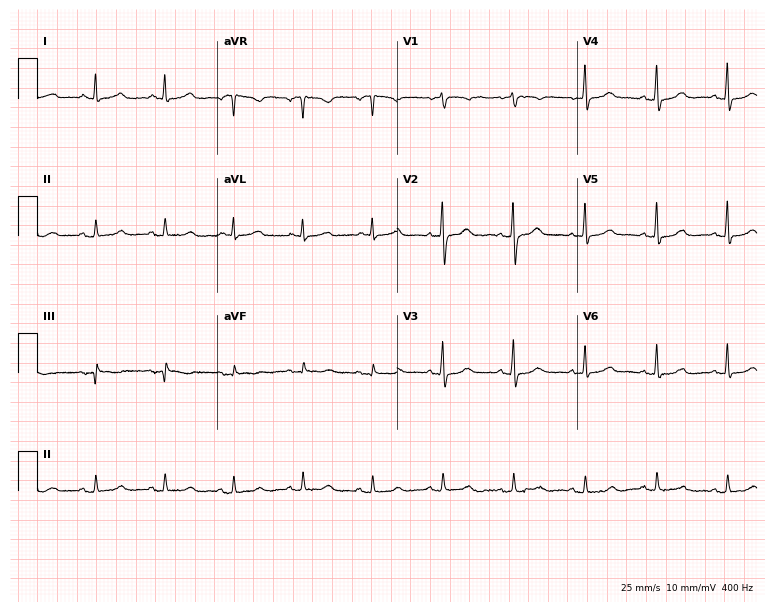
Resting 12-lead electrocardiogram (7.3-second recording at 400 Hz). Patient: a female, 74 years old. Read as a normal ECG.